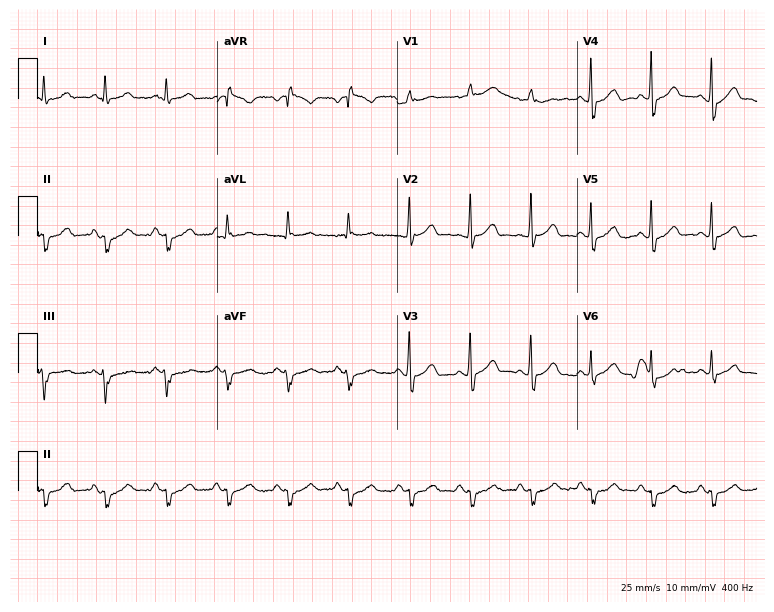
ECG (7.3-second recording at 400 Hz) — a 68-year-old male patient. Screened for six findings — first-degree AV block, right bundle branch block (RBBB), left bundle branch block (LBBB), sinus bradycardia, atrial fibrillation (AF), sinus tachycardia — none is recorded. Findings outside these six are not listed.